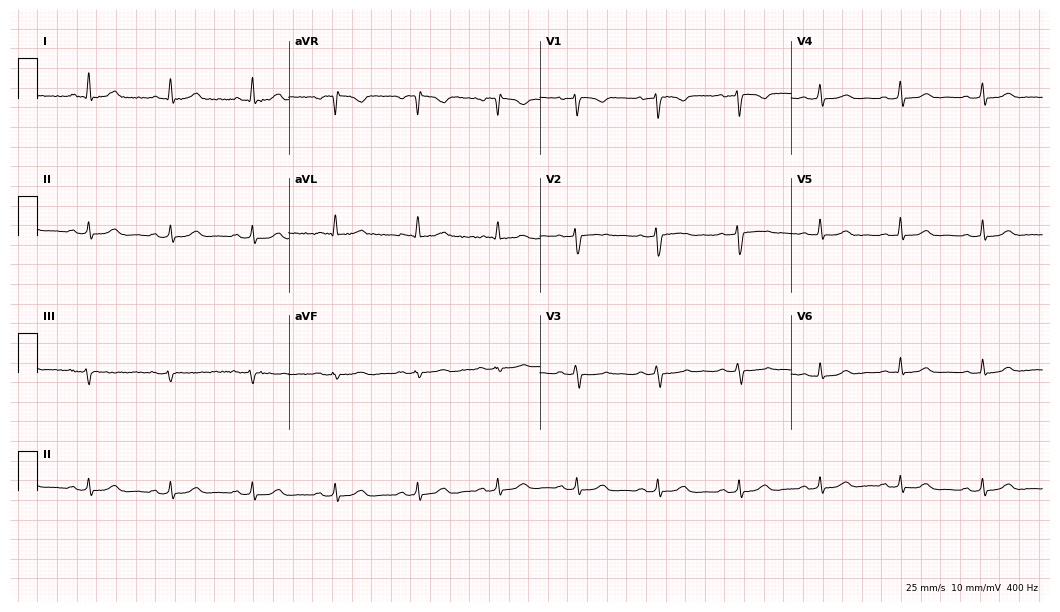
12-lead ECG from a female patient, 38 years old (10.2-second recording at 400 Hz). No first-degree AV block, right bundle branch block, left bundle branch block, sinus bradycardia, atrial fibrillation or sinus tachycardia recorded for this tracing.